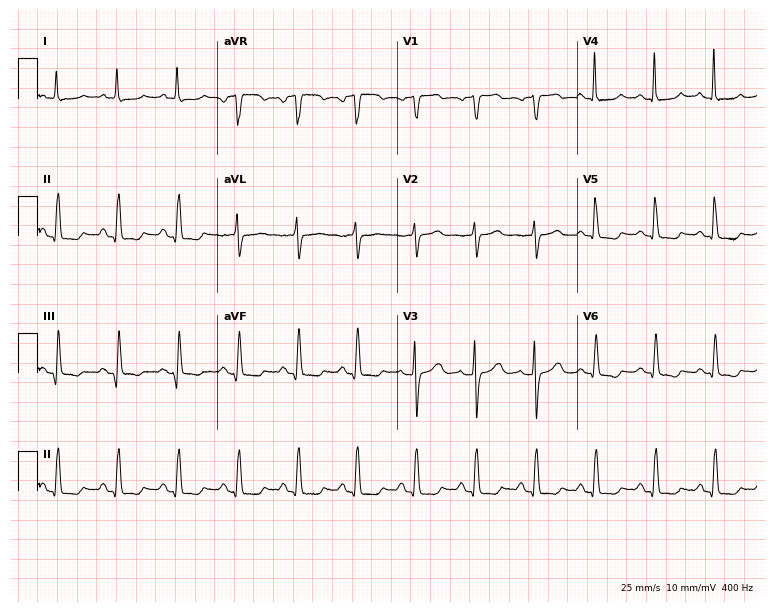
ECG — a 79-year-old female. Screened for six findings — first-degree AV block, right bundle branch block (RBBB), left bundle branch block (LBBB), sinus bradycardia, atrial fibrillation (AF), sinus tachycardia — none is recorded.